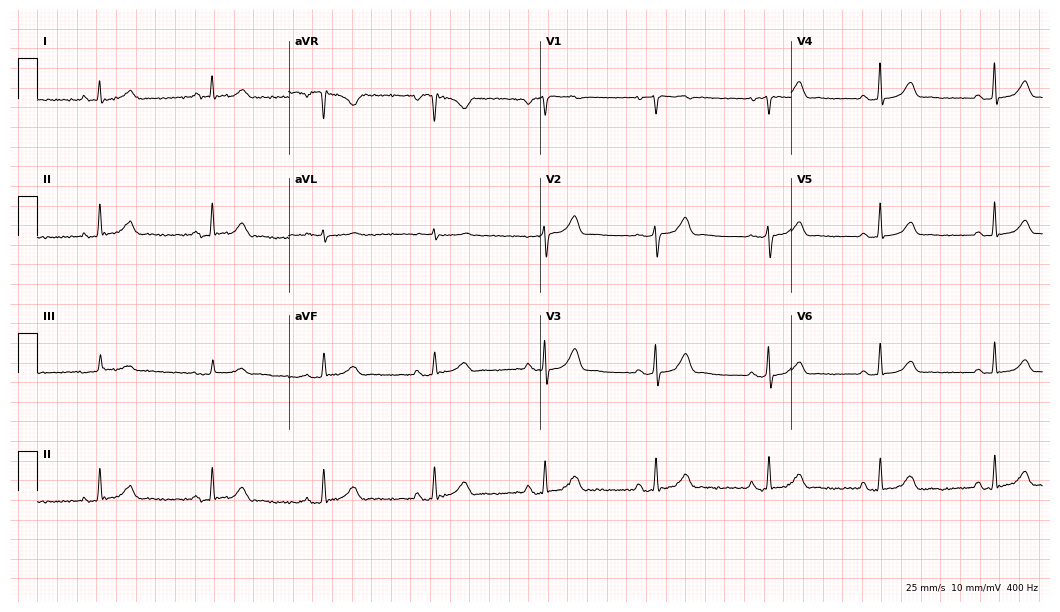
Electrocardiogram, a 54-year-old female patient. Overall reading on record: normal ECG.